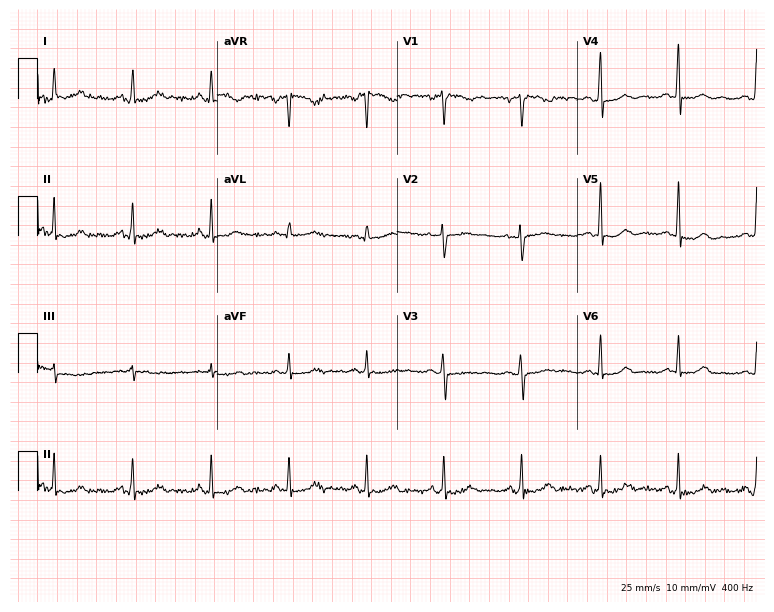
12-lead ECG from a 59-year-old woman. Screened for six findings — first-degree AV block, right bundle branch block, left bundle branch block, sinus bradycardia, atrial fibrillation, sinus tachycardia — none is recorded.